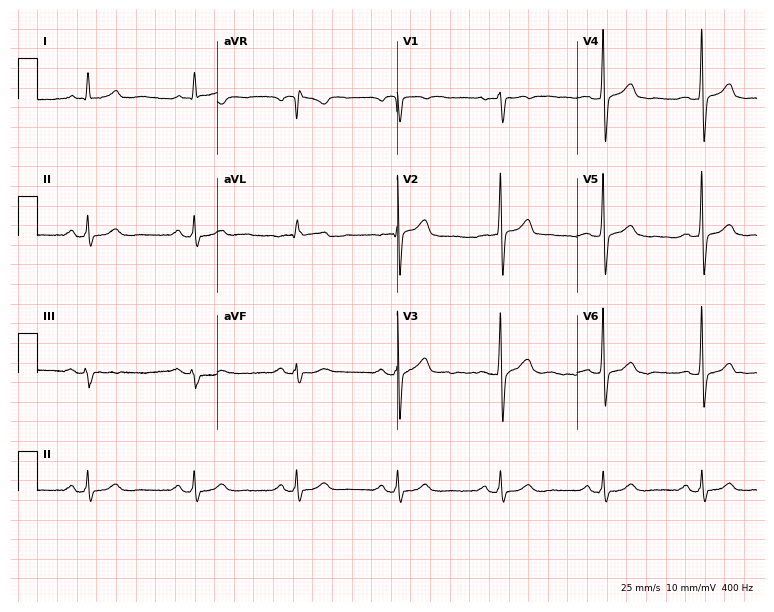
ECG — a 54-year-old female patient. Labelled as a normal ECG.